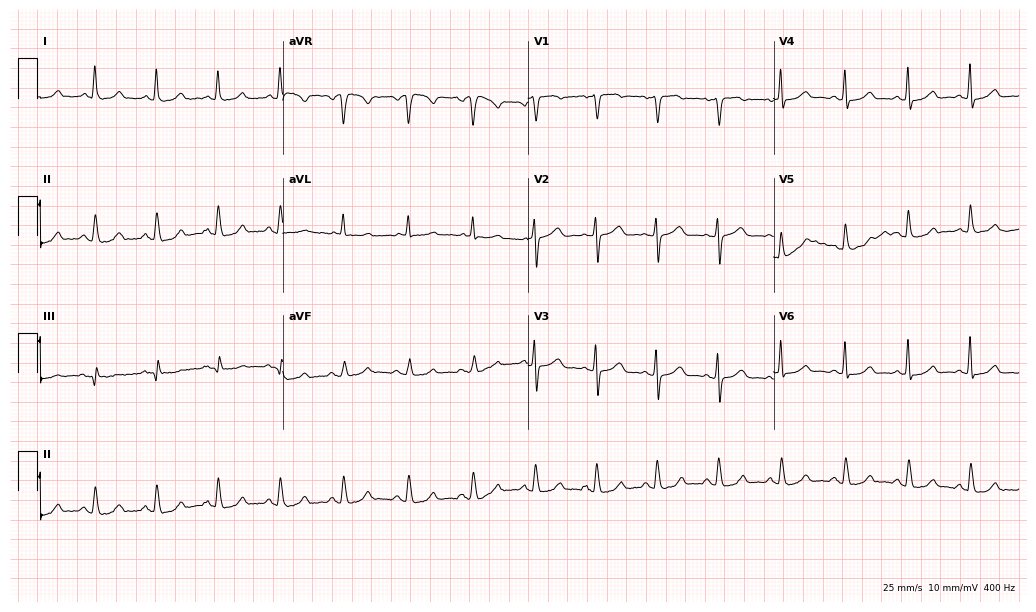
12-lead ECG from a 56-year-old female. Labelled as a normal ECG.